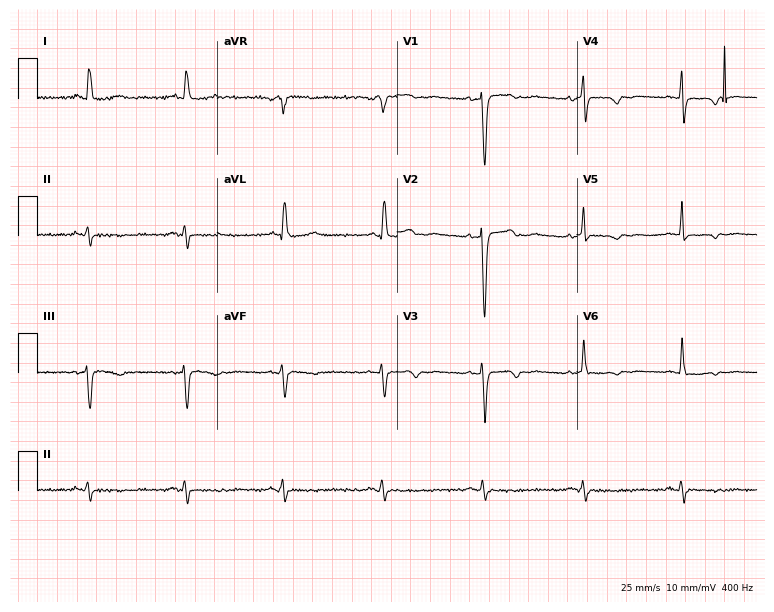
Electrocardiogram, a 68-year-old female. Of the six screened findings (first-degree AV block, right bundle branch block (RBBB), left bundle branch block (LBBB), sinus bradycardia, atrial fibrillation (AF), sinus tachycardia), none is recorded.